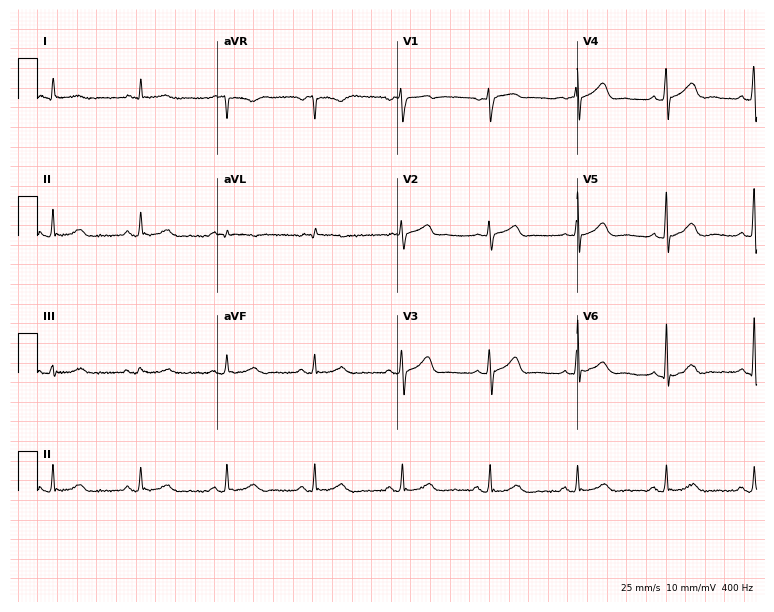
ECG (7.3-second recording at 400 Hz) — a male, 62 years old. Labelled as a normal ECG.